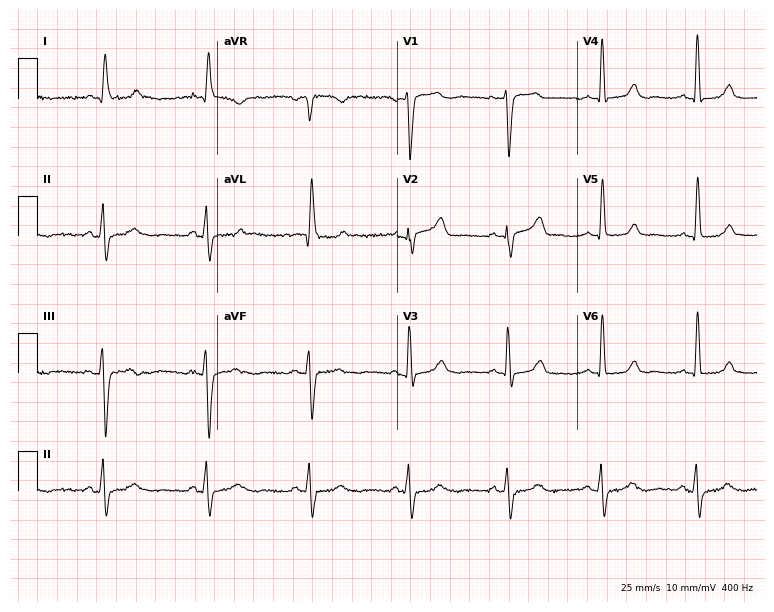
12-lead ECG from a female, 56 years old (7.3-second recording at 400 Hz). No first-degree AV block, right bundle branch block (RBBB), left bundle branch block (LBBB), sinus bradycardia, atrial fibrillation (AF) or sinus tachycardia recorded for this tracing. Other findings, if any, are not listed.